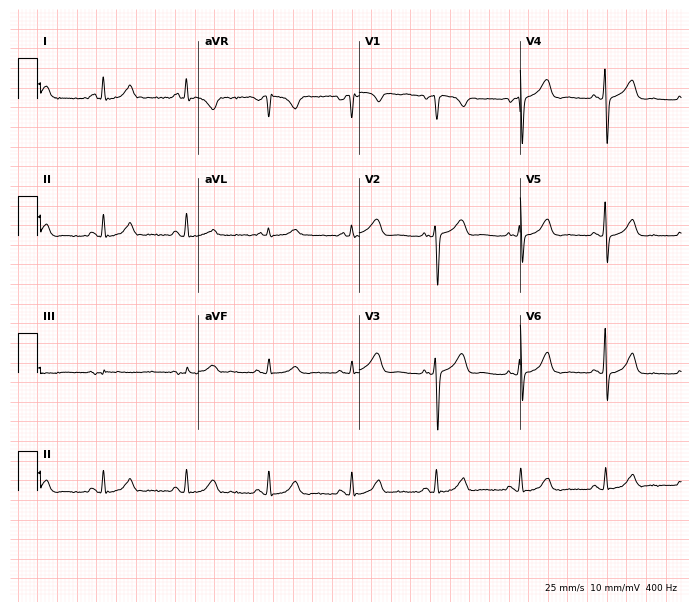
Standard 12-lead ECG recorded from a 66-year-old female. Read as a normal ECG.